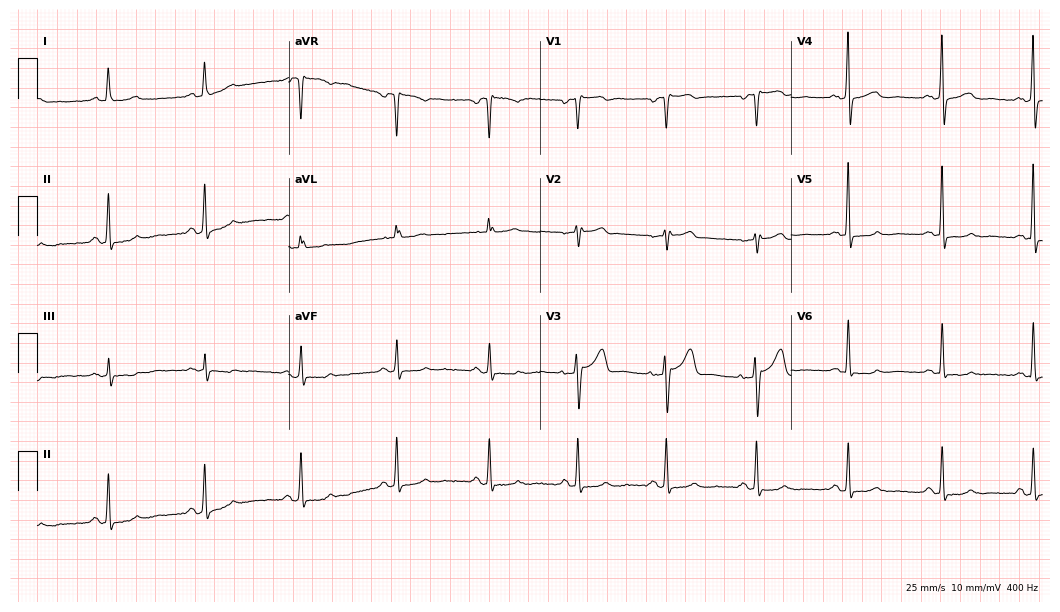
ECG (10.2-second recording at 400 Hz) — a 63-year-old female. Labelled as a normal ECG.